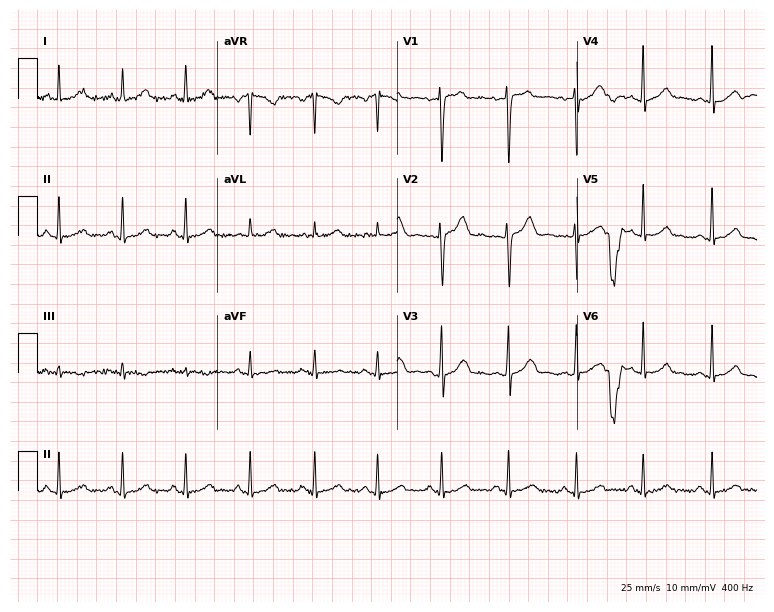
Electrocardiogram, a 26-year-old female patient. Overall reading on record: normal ECG.